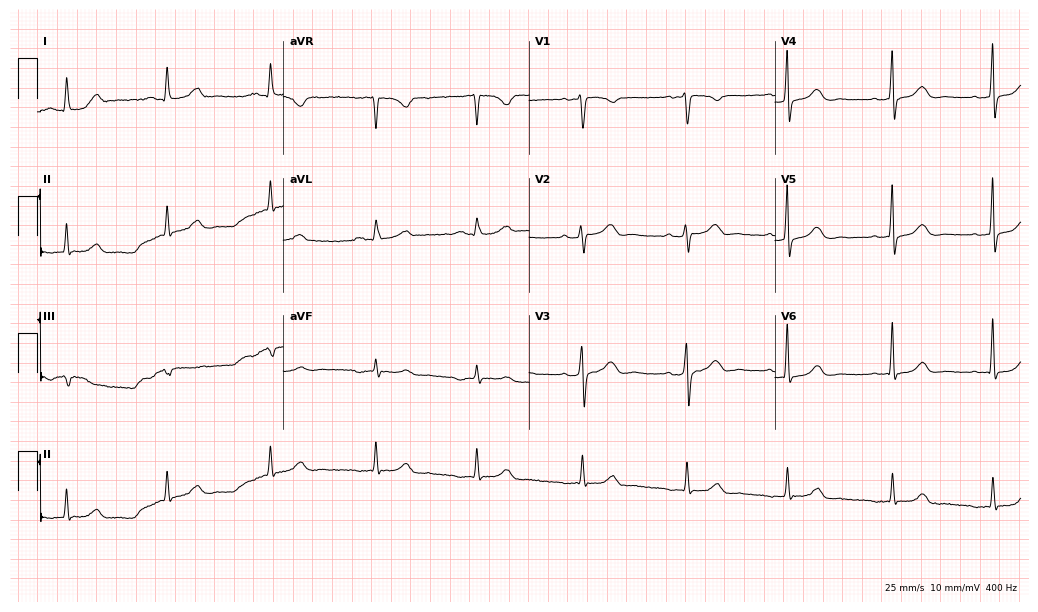
ECG — a woman, 61 years old. Screened for six findings — first-degree AV block, right bundle branch block (RBBB), left bundle branch block (LBBB), sinus bradycardia, atrial fibrillation (AF), sinus tachycardia — none is recorded. Only these six findings were labelled.